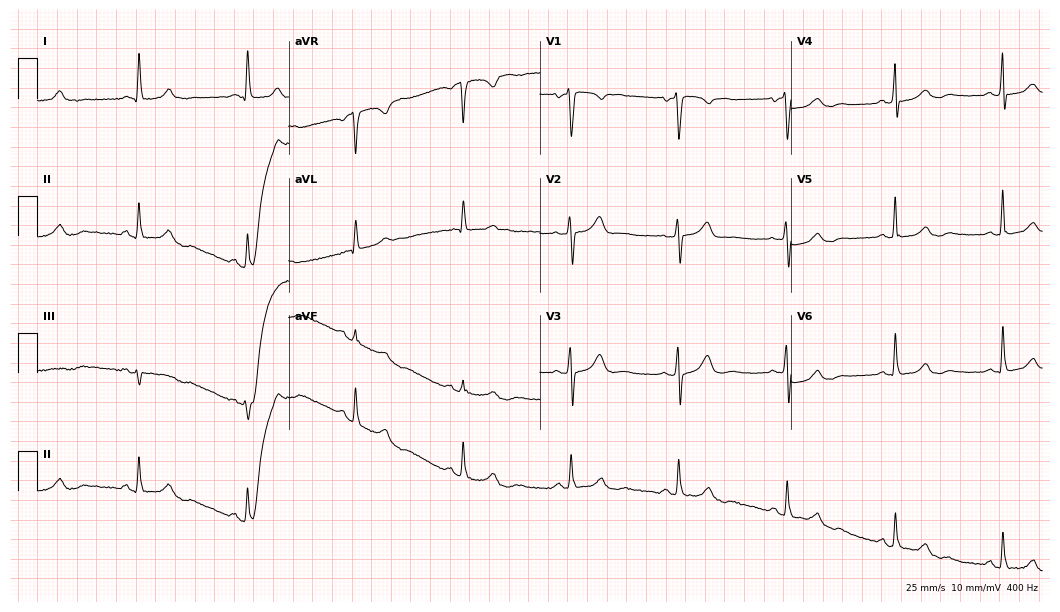
Electrocardiogram, a 70-year-old female patient. Overall reading on record: normal ECG.